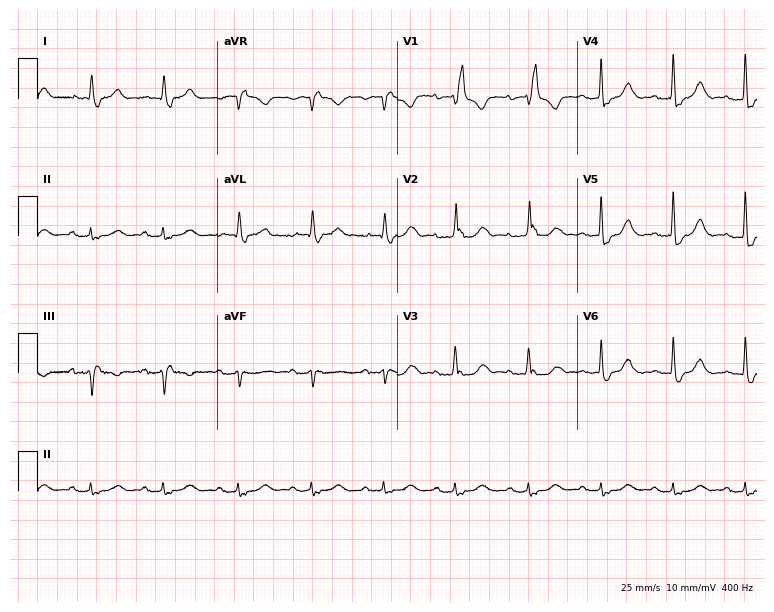
12-lead ECG from an 83-year-old man. Shows first-degree AV block, right bundle branch block (RBBB).